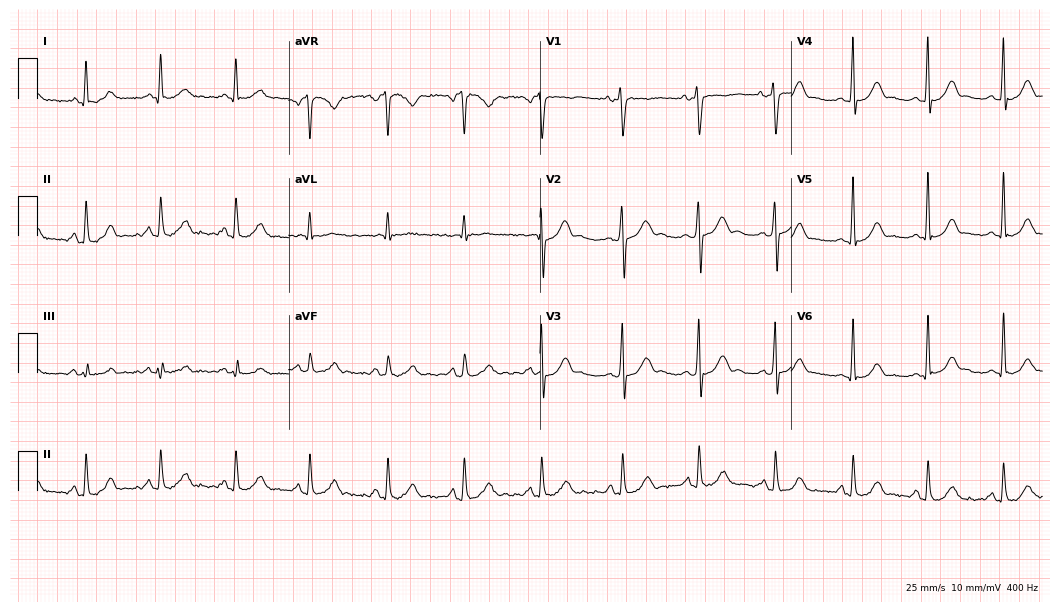
Resting 12-lead electrocardiogram (10.2-second recording at 400 Hz). Patient: a 47-year-old male. Read as a normal ECG.